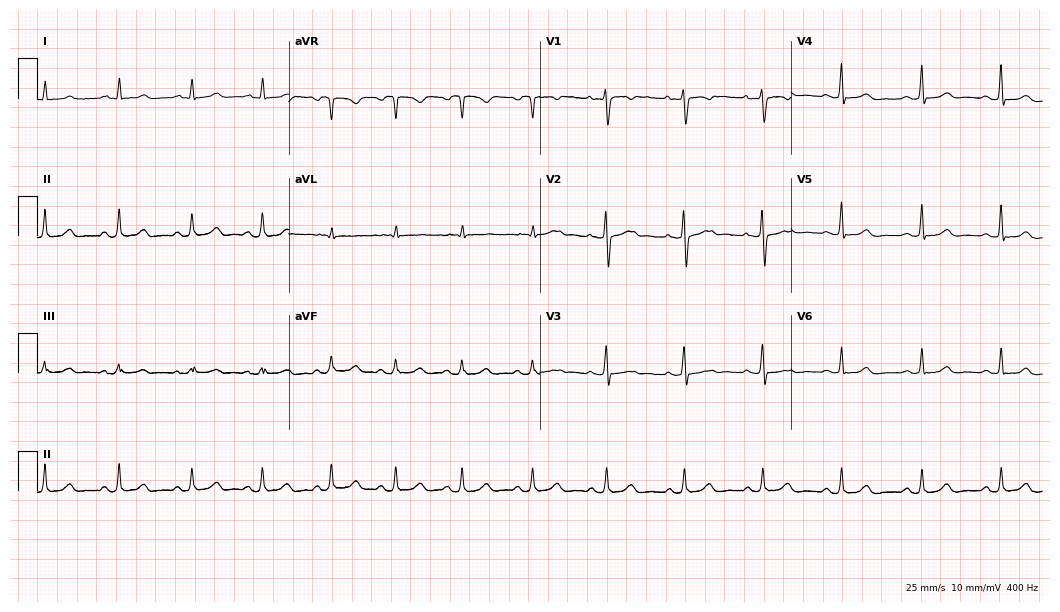
Standard 12-lead ECG recorded from a female, 27 years old (10.2-second recording at 400 Hz). Read as a normal ECG.